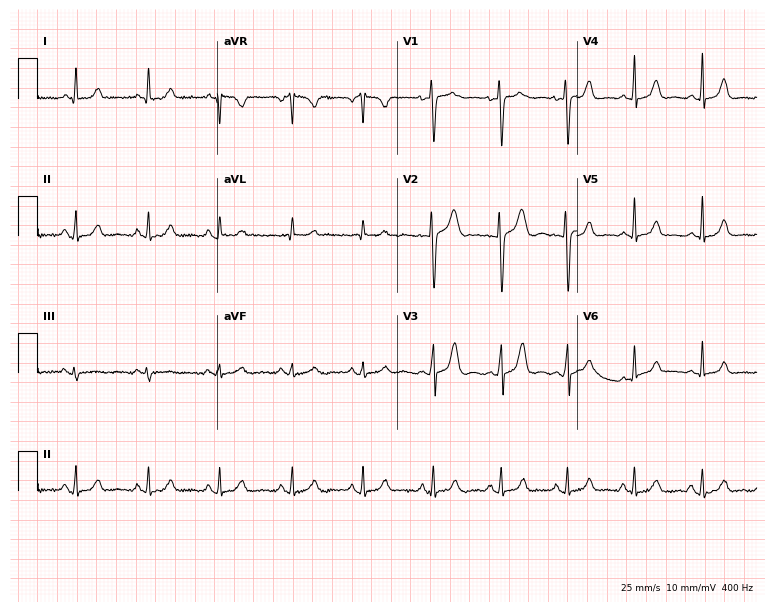
12-lead ECG from a 30-year-old woman. Labelled as a normal ECG.